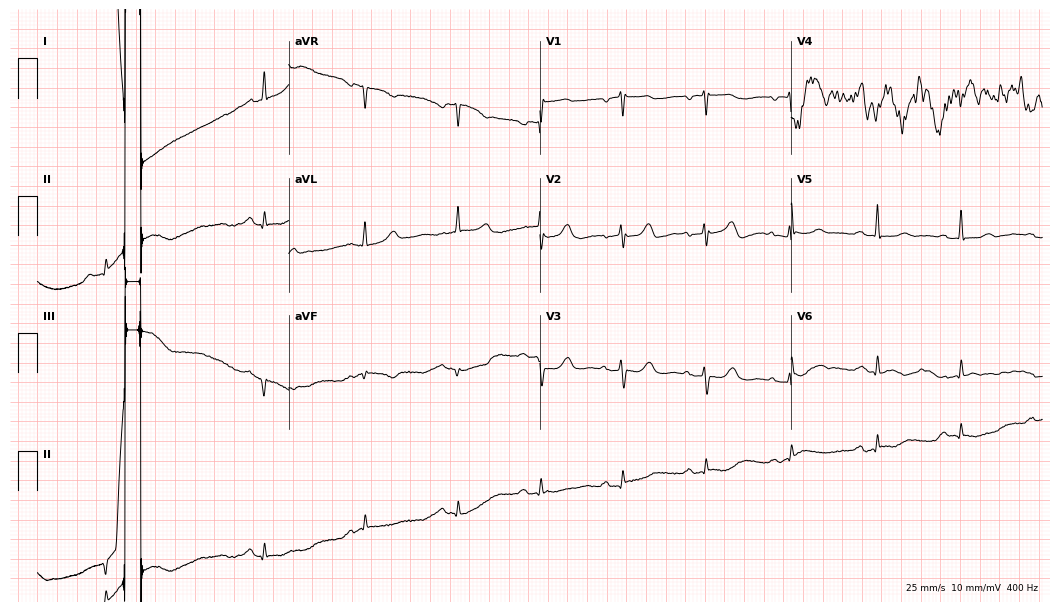
12-lead ECG from an 85-year-old female patient (10.2-second recording at 400 Hz). No first-degree AV block, right bundle branch block, left bundle branch block, sinus bradycardia, atrial fibrillation or sinus tachycardia recorded for this tracing.